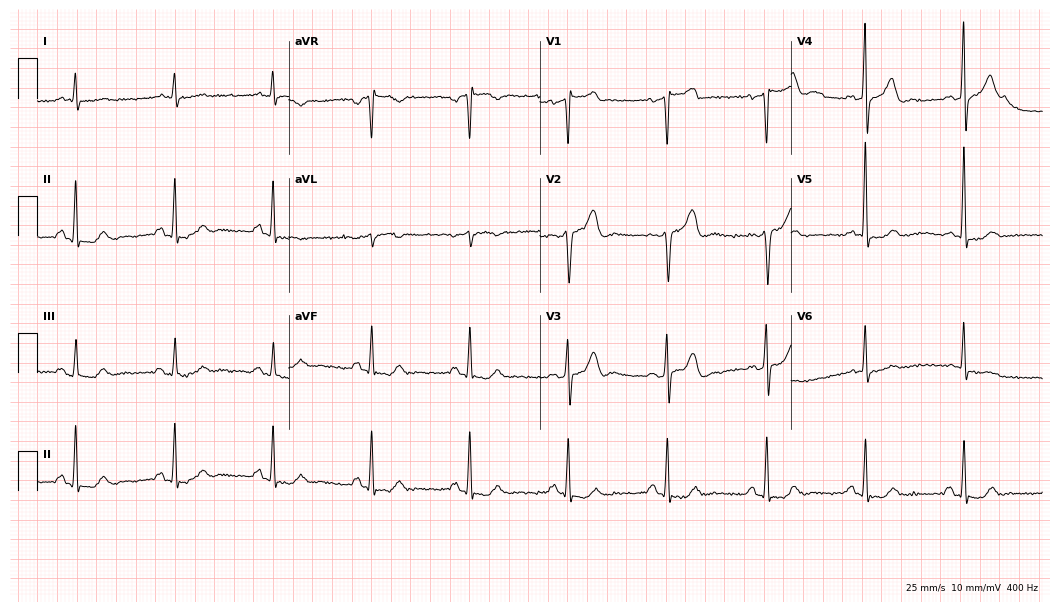
12-lead ECG (10.2-second recording at 400 Hz) from a male, 80 years old. Screened for six findings — first-degree AV block, right bundle branch block, left bundle branch block, sinus bradycardia, atrial fibrillation, sinus tachycardia — none is recorded.